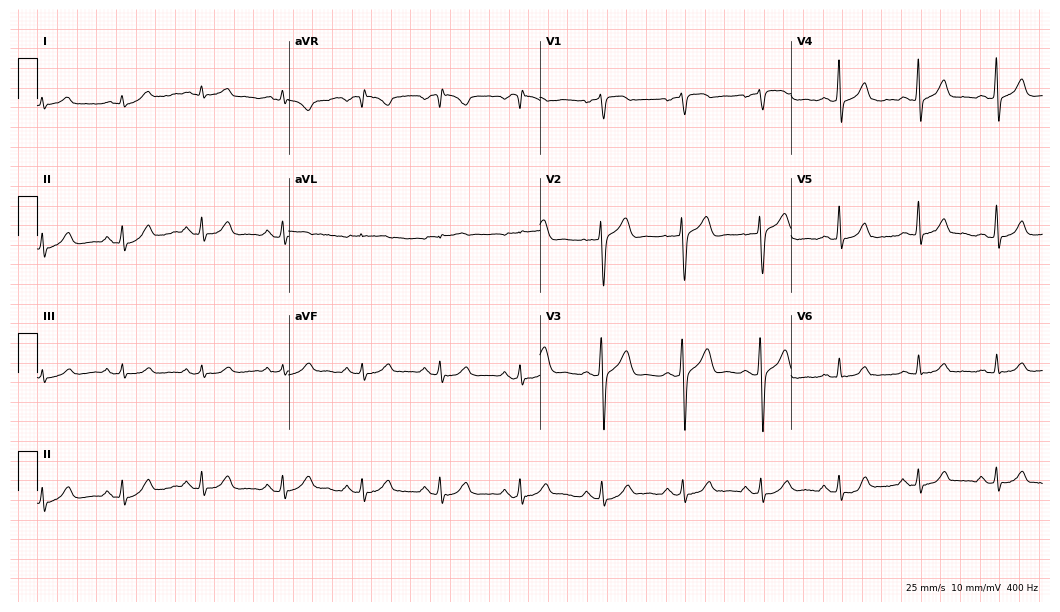
ECG — a 64-year-old male patient. Screened for six findings — first-degree AV block, right bundle branch block (RBBB), left bundle branch block (LBBB), sinus bradycardia, atrial fibrillation (AF), sinus tachycardia — none is recorded. Other findings, if any, are not listed.